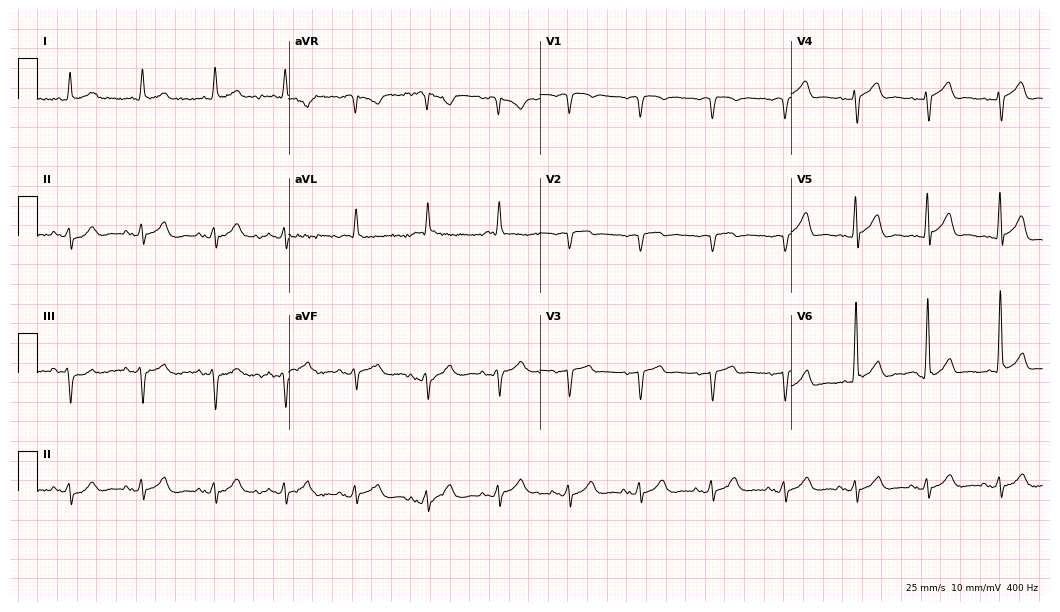
Resting 12-lead electrocardiogram (10.2-second recording at 400 Hz). Patient: a man, 79 years old. None of these six findings is recorded: first-degree AV block, right bundle branch block, left bundle branch block, sinus bradycardia, atrial fibrillation, sinus tachycardia.